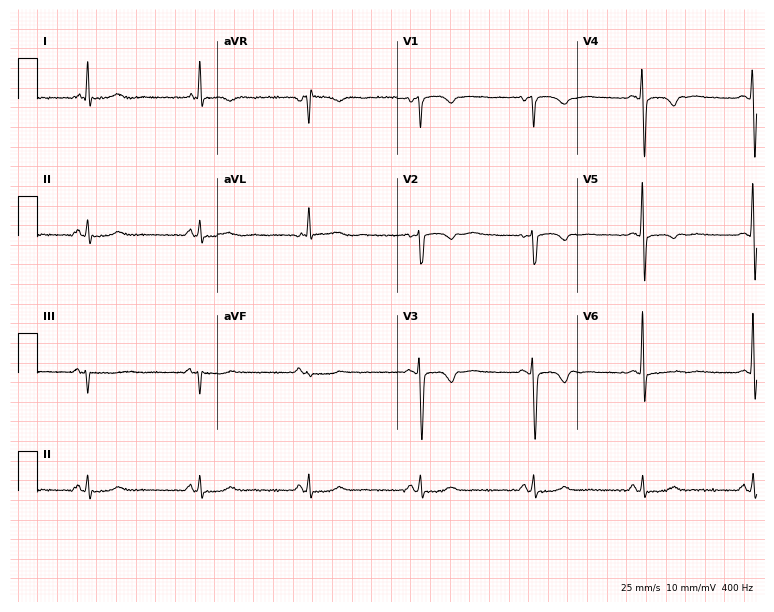
Electrocardiogram (7.3-second recording at 400 Hz), a female patient, 61 years old. Of the six screened findings (first-degree AV block, right bundle branch block, left bundle branch block, sinus bradycardia, atrial fibrillation, sinus tachycardia), none is recorded. Only these six findings were labelled.